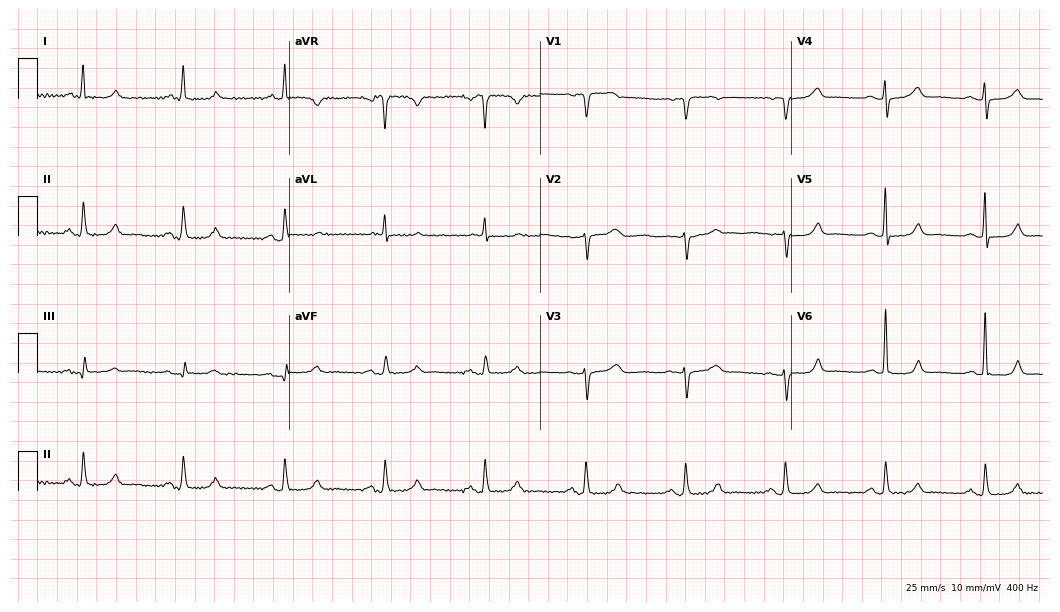
ECG — a female patient, 72 years old. Labelled as a normal ECG.